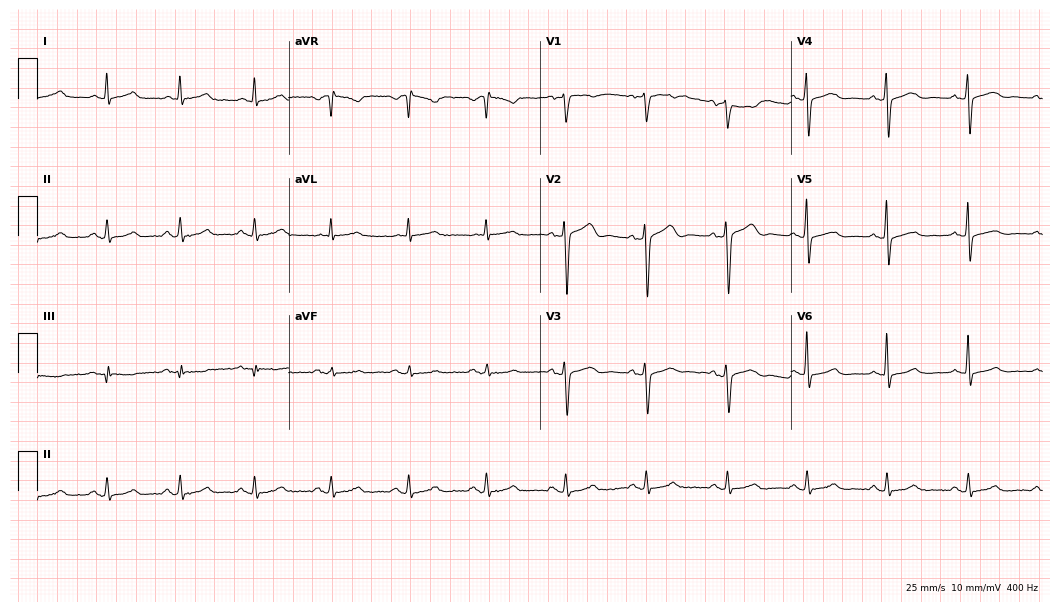
Electrocardiogram (10.2-second recording at 400 Hz), a 59-year-old male patient. Overall reading on record: normal ECG.